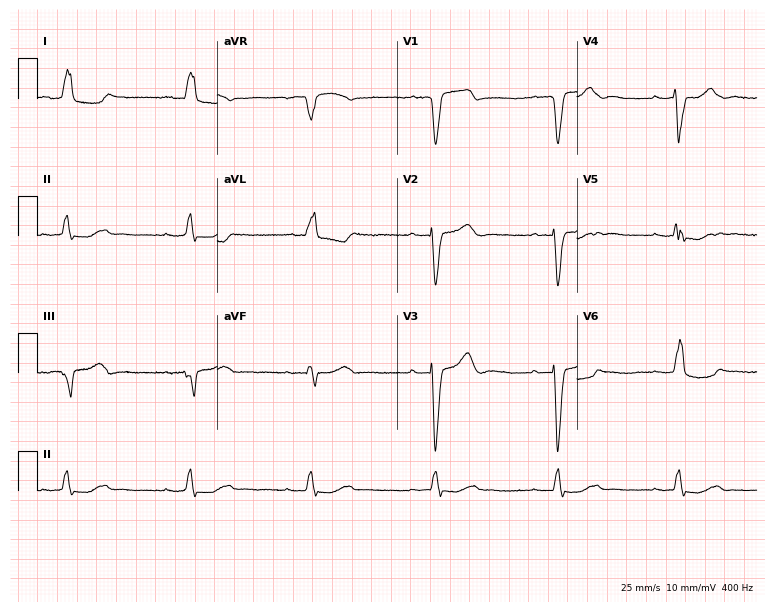
Standard 12-lead ECG recorded from a 77-year-old female. The tracing shows first-degree AV block, left bundle branch block, sinus bradycardia (a sinus rate of 50 beats per minute or less).